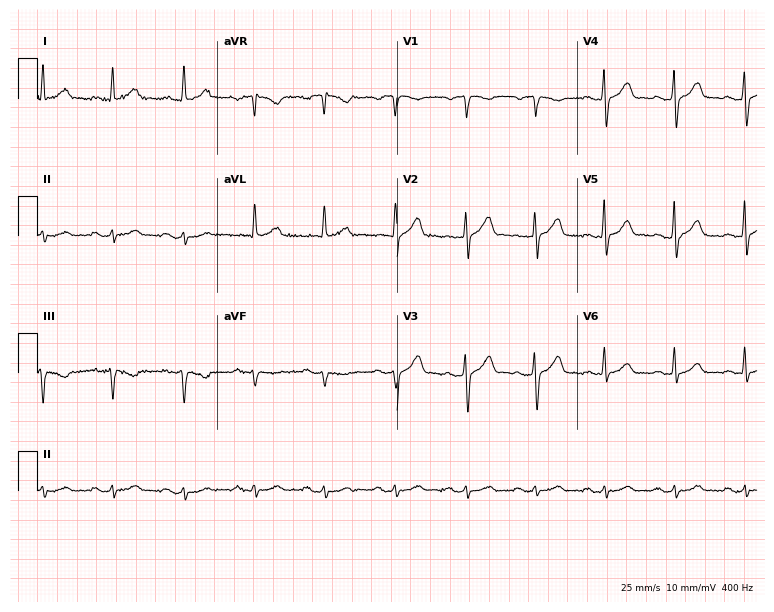
Electrocardiogram (7.3-second recording at 400 Hz), a male, 78 years old. Overall reading on record: normal ECG.